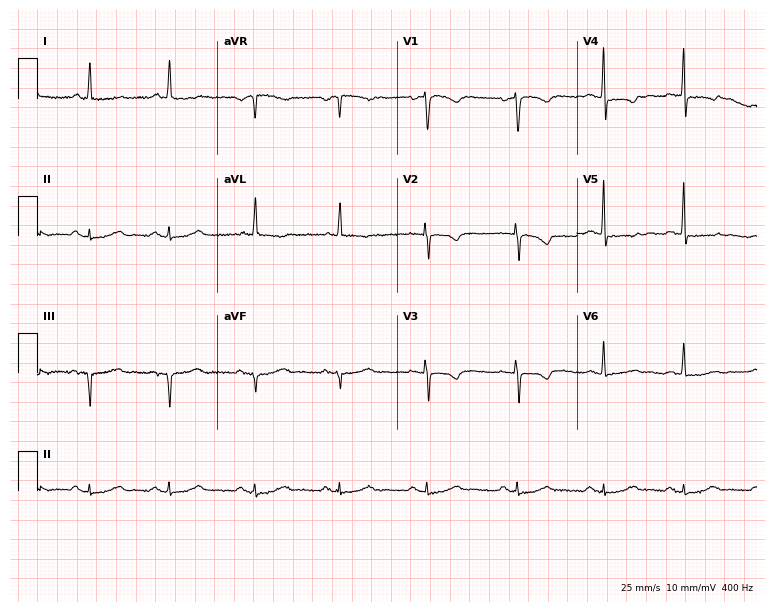
Resting 12-lead electrocardiogram (7.3-second recording at 400 Hz). Patient: a 75-year-old female. Read as a normal ECG.